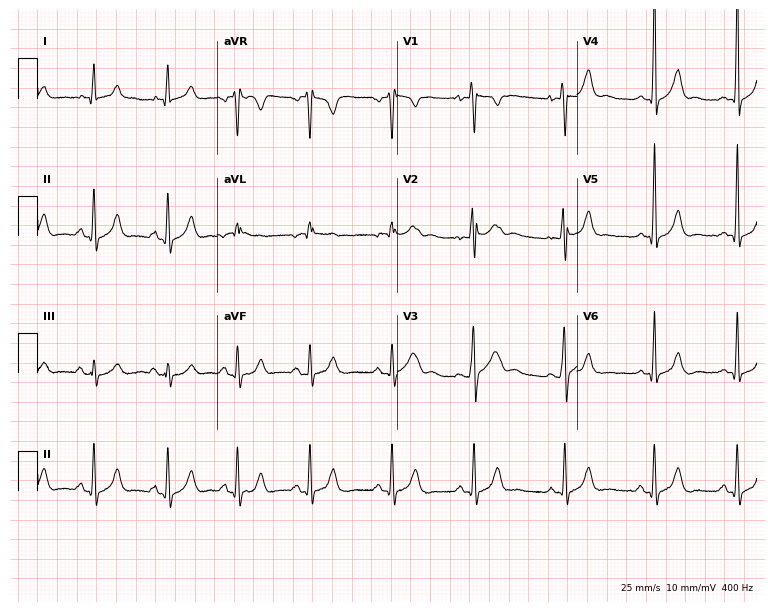
Resting 12-lead electrocardiogram. Patient: a 25-year-old male. Read as a normal ECG.